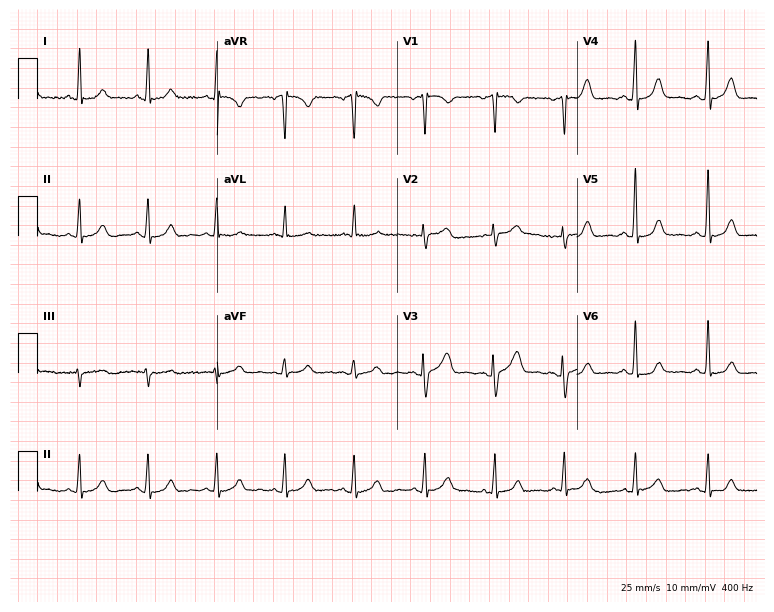
Standard 12-lead ECG recorded from a female patient, 52 years old (7.3-second recording at 400 Hz). Read as a normal ECG.